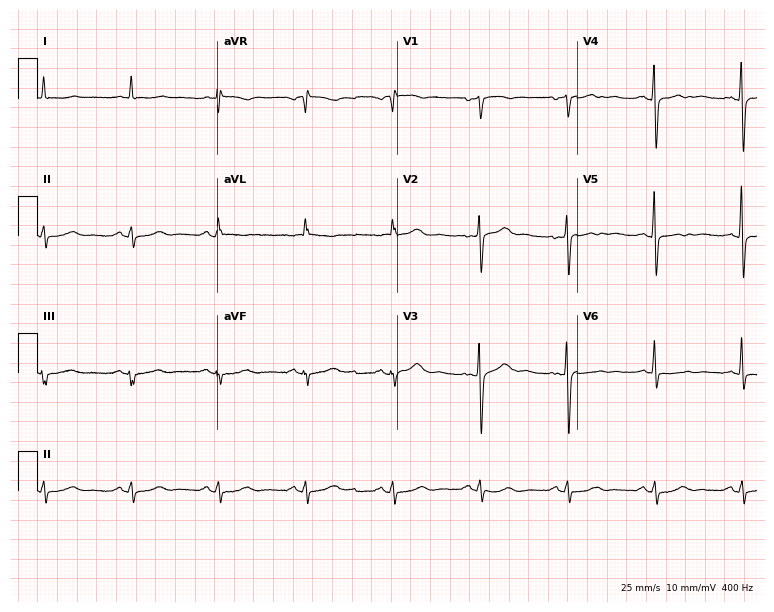
Resting 12-lead electrocardiogram (7.3-second recording at 400 Hz). Patient: a 59-year-old woman. None of these six findings is recorded: first-degree AV block, right bundle branch block, left bundle branch block, sinus bradycardia, atrial fibrillation, sinus tachycardia.